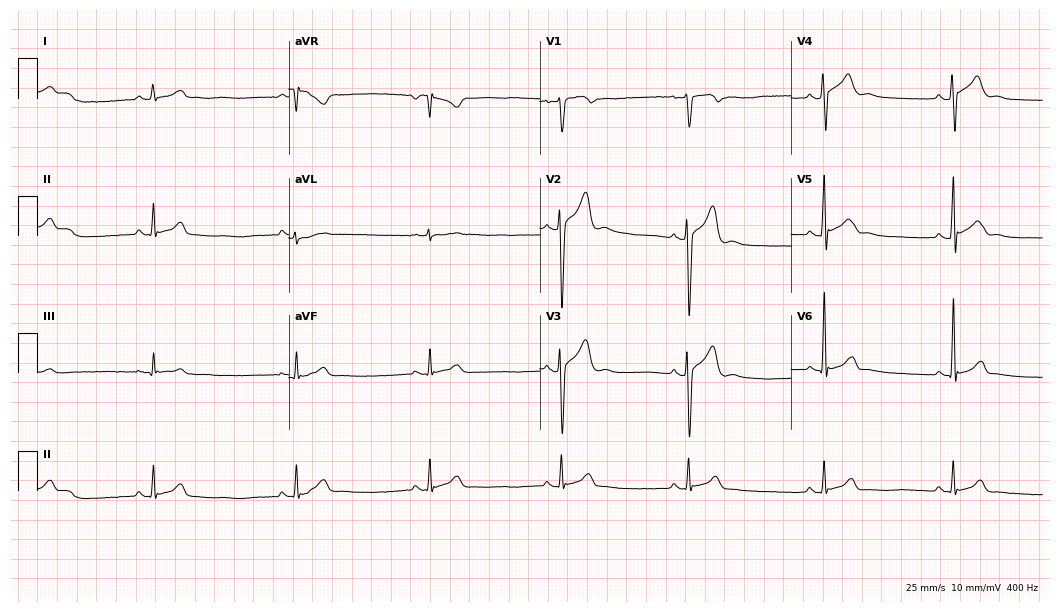
Electrocardiogram (10.2-second recording at 400 Hz), a 21-year-old male patient. Interpretation includes sinus bradycardia (a sinus rate of 50 beats per minute or less).